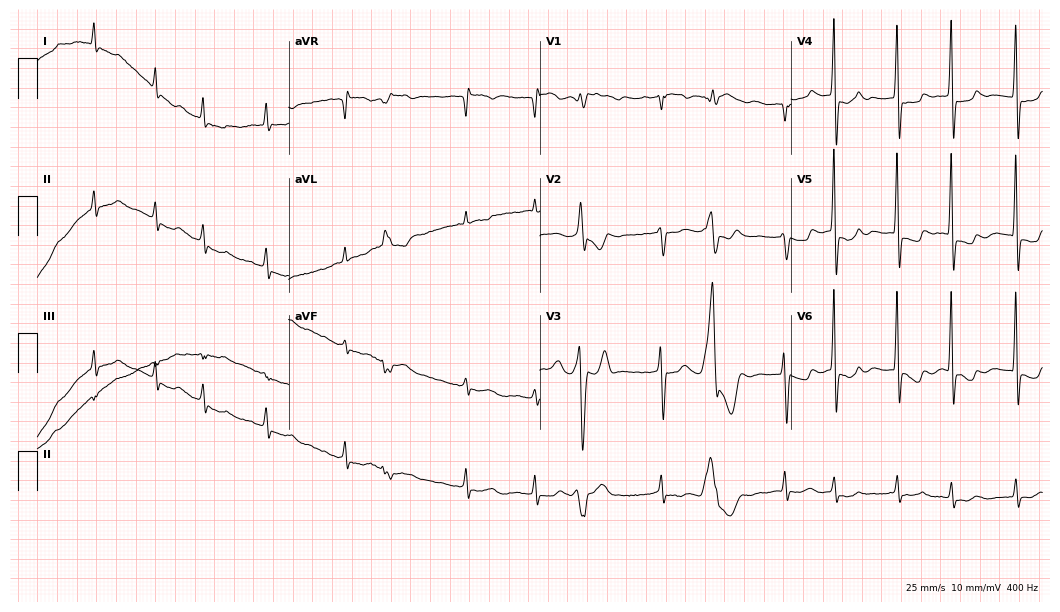
12-lead ECG from a male, 77 years old. Screened for six findings — first-degree AV block, right bundle branch block (RBBB), left bundle branch block (LBBB), sinus bradycardia, atrial fibrillation (AF), sinus tachycardia — none is recorded.